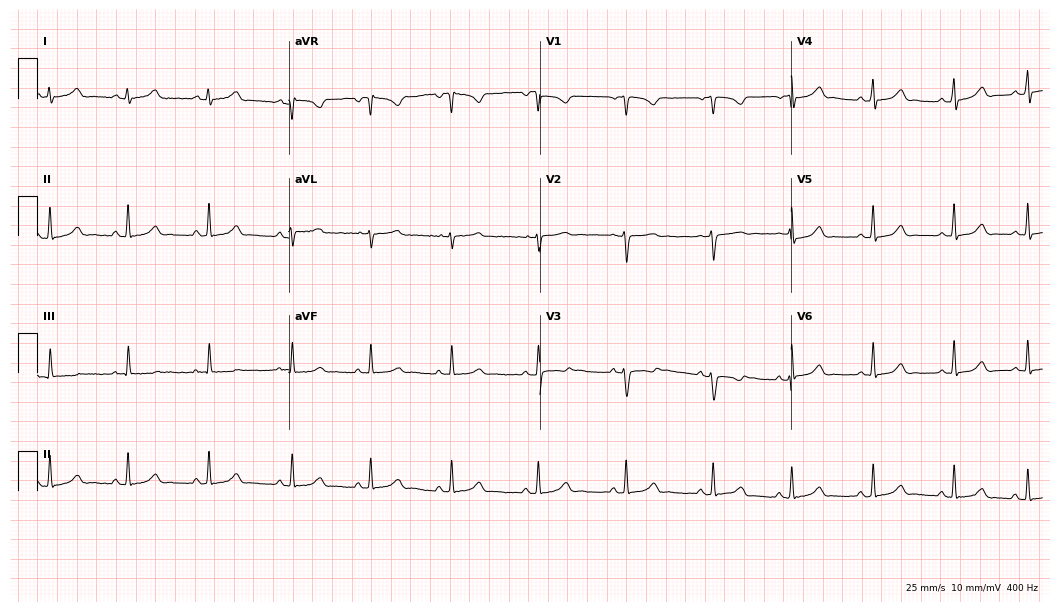
ECG — a 30-year-old female patient. Labelled as a normal ECG.